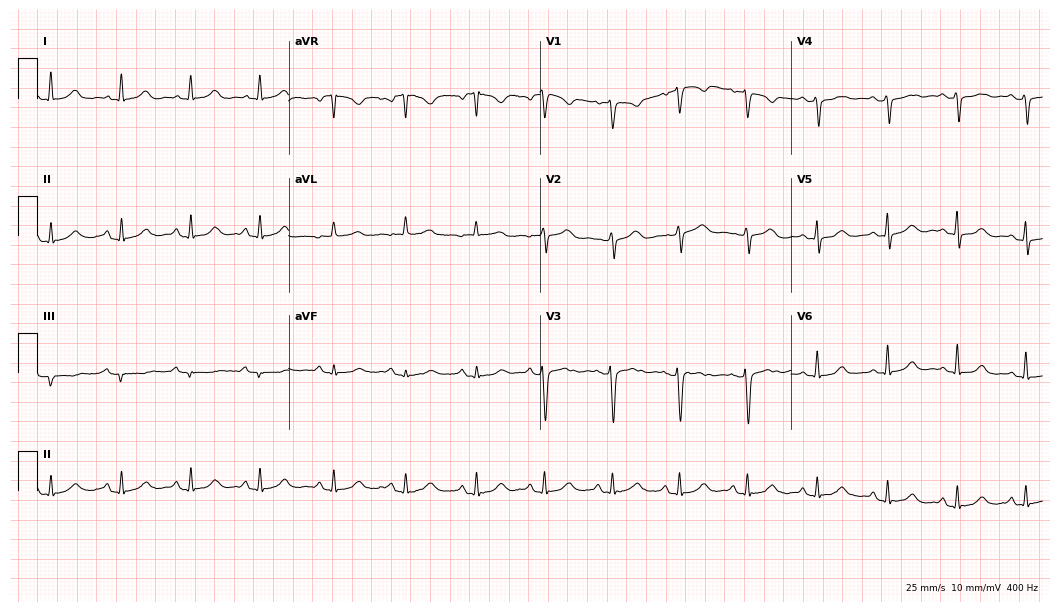
Standard 12-lead ECG recorded from a woman, 47 years old (10.2-second recording at 400 Hz). None of these six findings is recorded: first-degree AV block, right bundle branch block, left bundle branch block, sinus bradycardia, atrial fibrillation, sinus tachycardia.